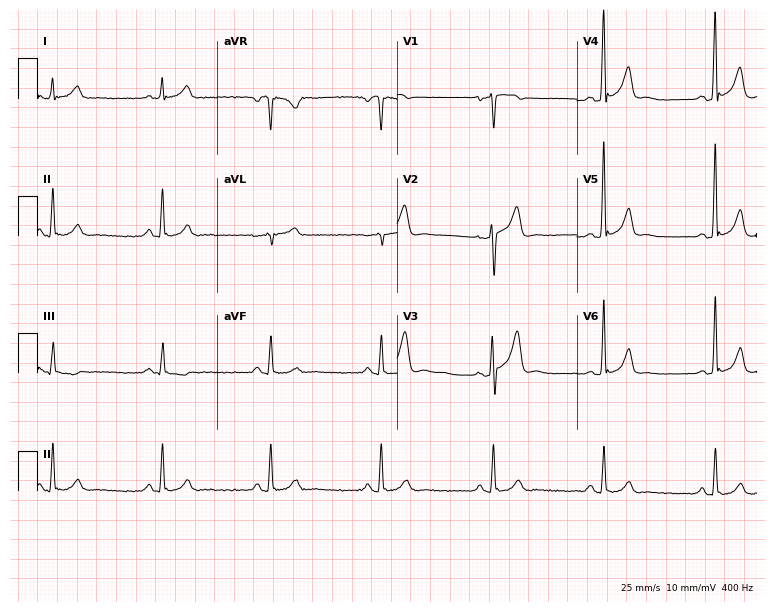
12-lead ECG from a male patient, 42 years old (7.3-second recording at 400 Hz). No first-degree AV block, right bundle branch block (RBBB), left bundle branch block (LBBB), sinus bradycardia, atrial fibrillation (AF) or sinus tachycardia recorded for this tracing. Only these six findings were labelled.